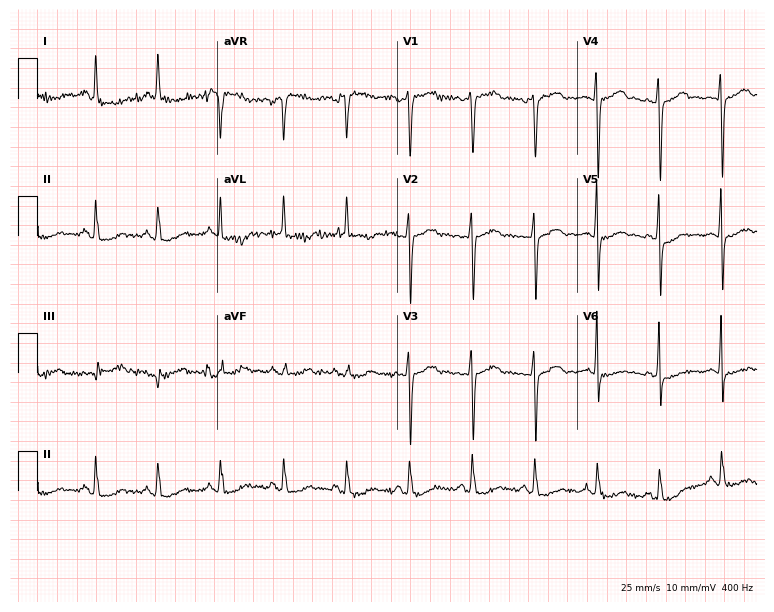
Resting 12-lead electrocardiogram. Patient: a woman, 50 years old. None of these six findings is recorded: first-degree AV block, right bundle branch block, left bundle branch block, sinus bradycardia, atrial fibrillation, sinus tachycardia.